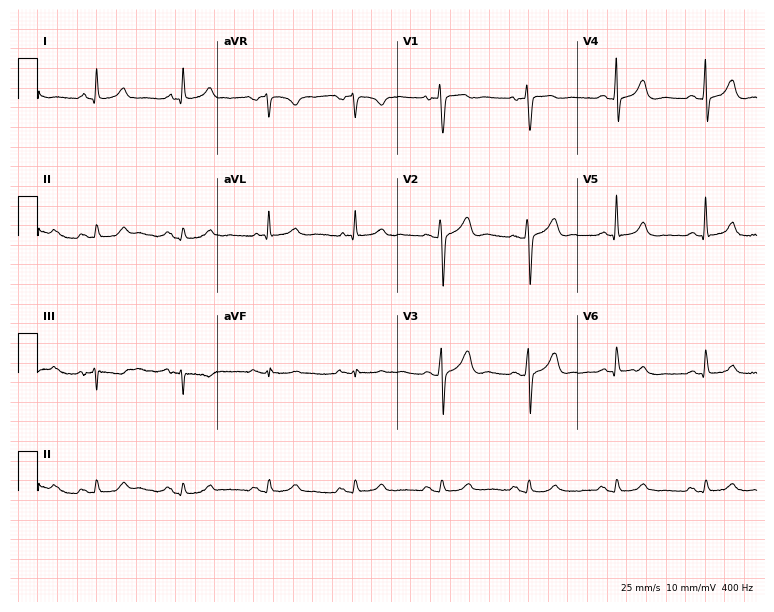
12-lead ECG (7.3-second recording at 400 Hz) from a male patient, 76 years old. Screened for six findings — first-degree AV block, right bundle branch block, left bundle branch block, sinus bradycardia, atrial fibrillation, sinus tachycardia — none is recorded.